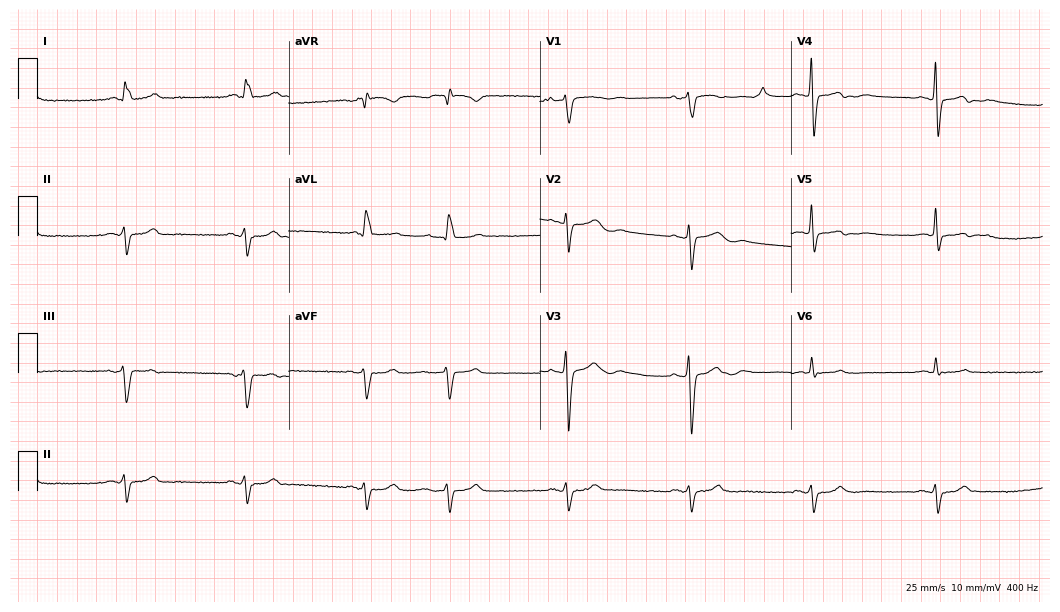
12-lead ECG from a 75-year-old male patient. Screened for six findings — first-degree AV block, right bundle branch block, left bundle branch block, sinus bradycardia, atrial fibrillation, sinus tachycardia — none is recorded.